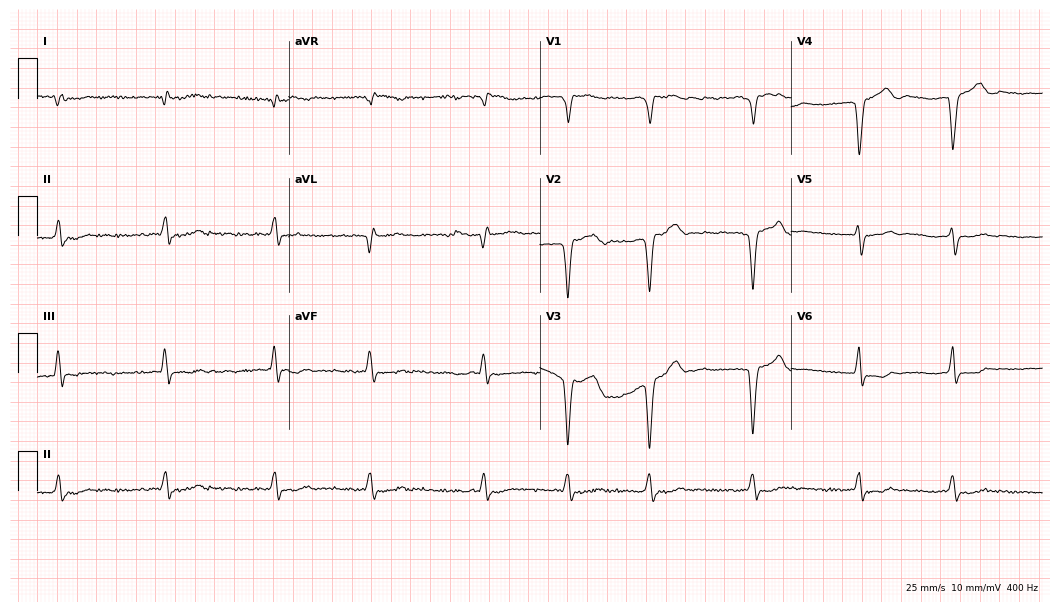
12-lead ECG (10.2-second recording at 400 Hz) from a woman, 78 years old. Screened for six findings — first-degree AV block, right bundle branch block, left bundle branch block, sinus bradycardia, atrial fibrillation, sinus tachycardia — none is recorded.